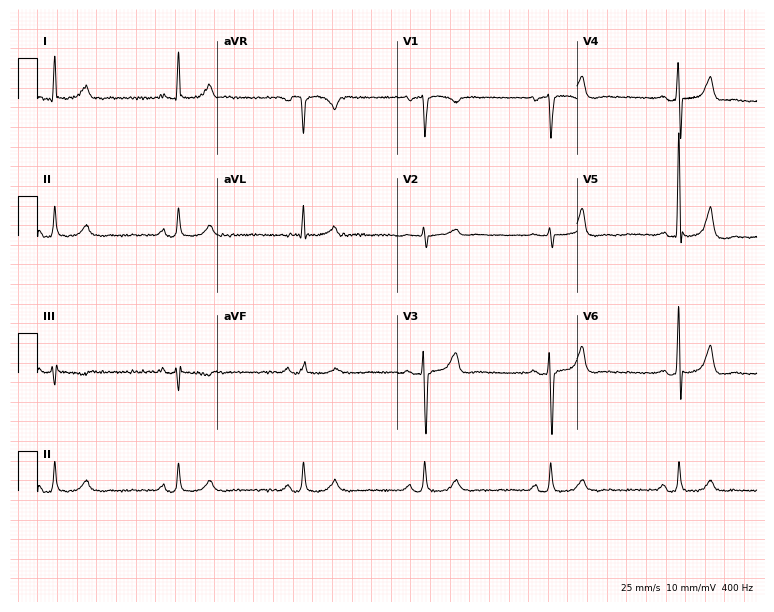
12-lead ECG from a man, 71 years old. Findings include sinus bradycardia (a sinus rate of 50 beats per minute or less).